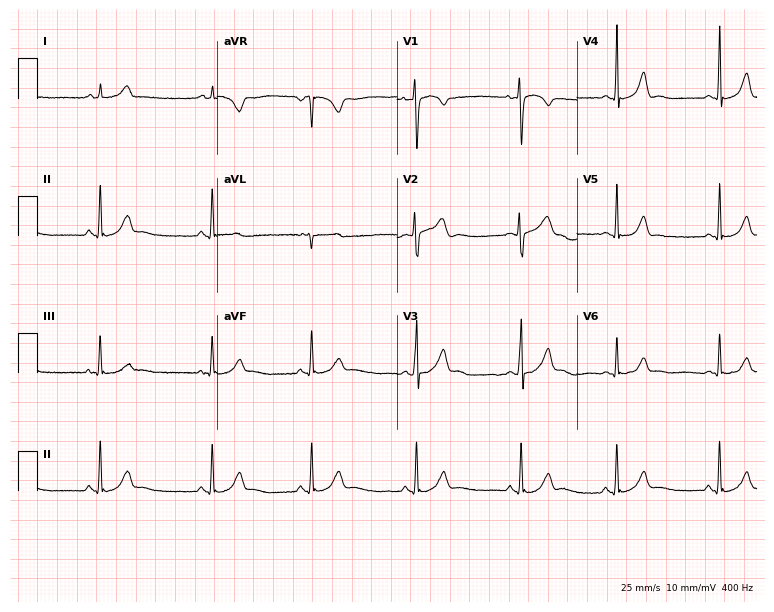
ECG — a 17-year-old female patient. Labelled as a normal ECG.